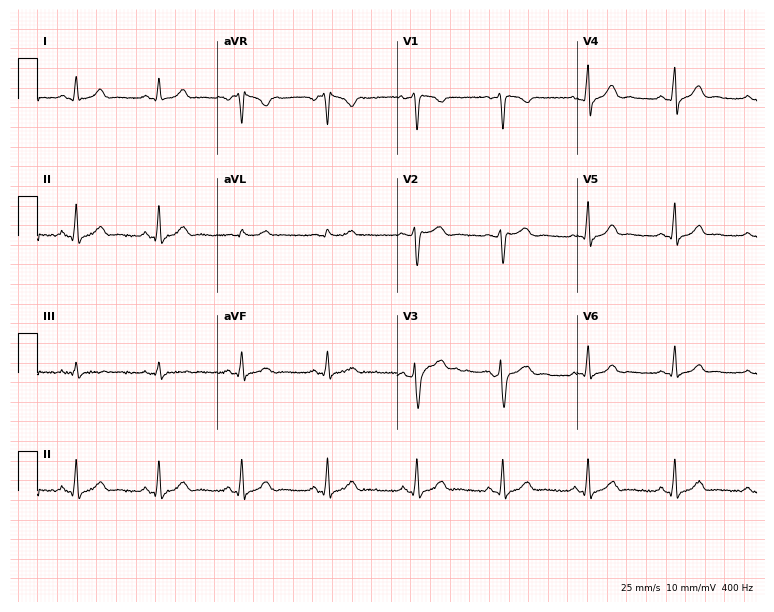
Standard 12-lead ECG recorded from a female patient, 34 years old (7.3-second recording at 400 Hz). Read as a normal ECG.